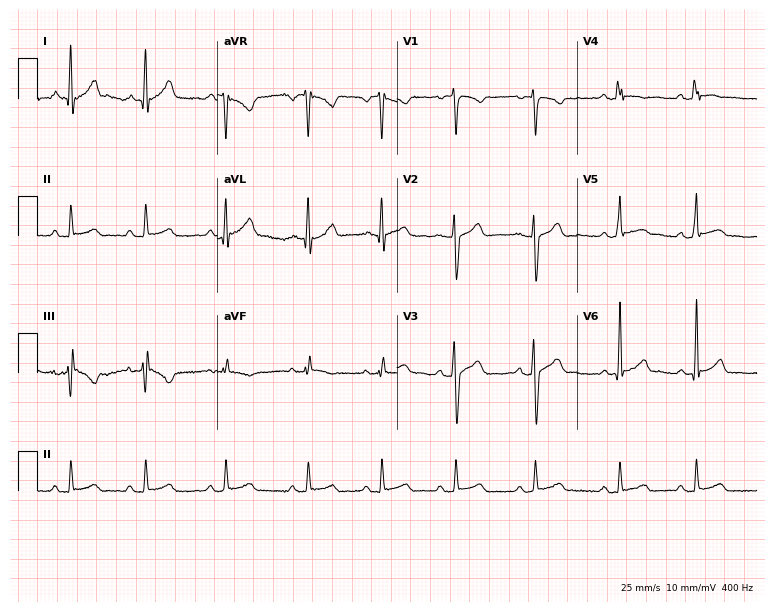
ECG (7.3-second recording at 400 Hz) — a 27-year-old male patient. Labelled as a normal ECG.